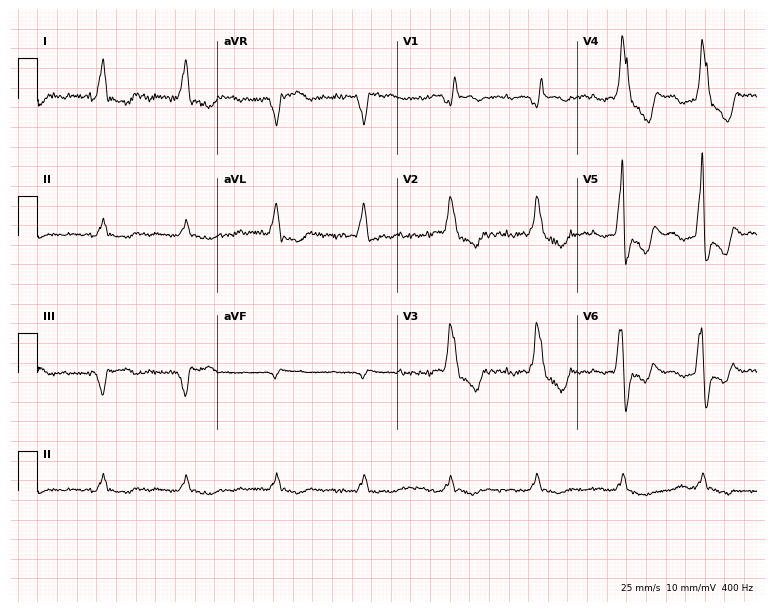
12-lead ECG from an 81-year-old female (7.3-second recording at 400 Hz). No first-degree AV block, right bundle branch block, left bundle branch block, sinus bradycardia, atrial fibrillation or sinus tachycardia recorded for this tracing.